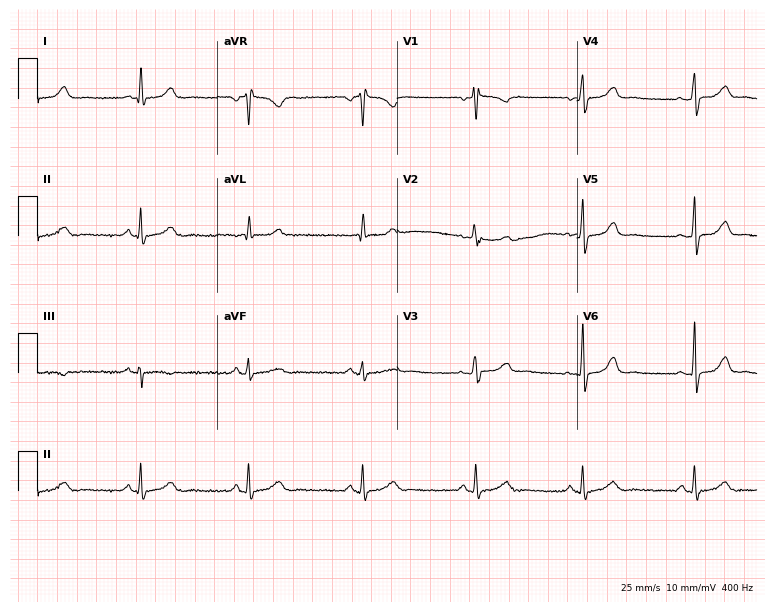
Electrocardiogram (7.3-second recording at 400 Hz), a 64-year-old woman. Of the six screened findings (first-degree AV block, right bundle branch block, left bundle branch block, sinus bradycardia, atrial fibrillation, sinus tachycardia), none is recorded.